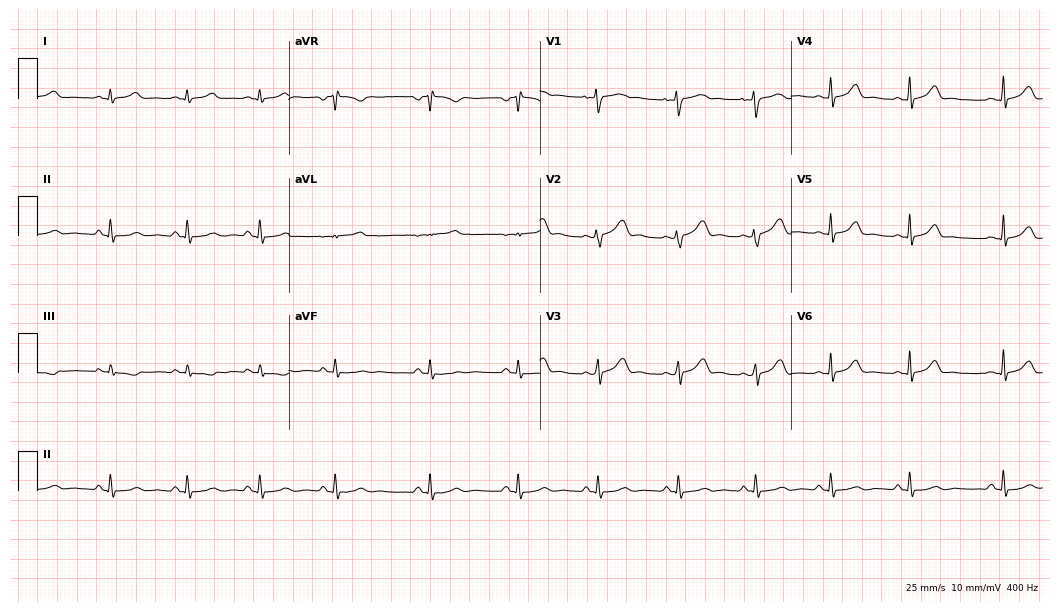
Electrocardiogram (10.2-second recording at 400 Hz), a male patient, 25 years old. Overall reading on record: normal ECG.